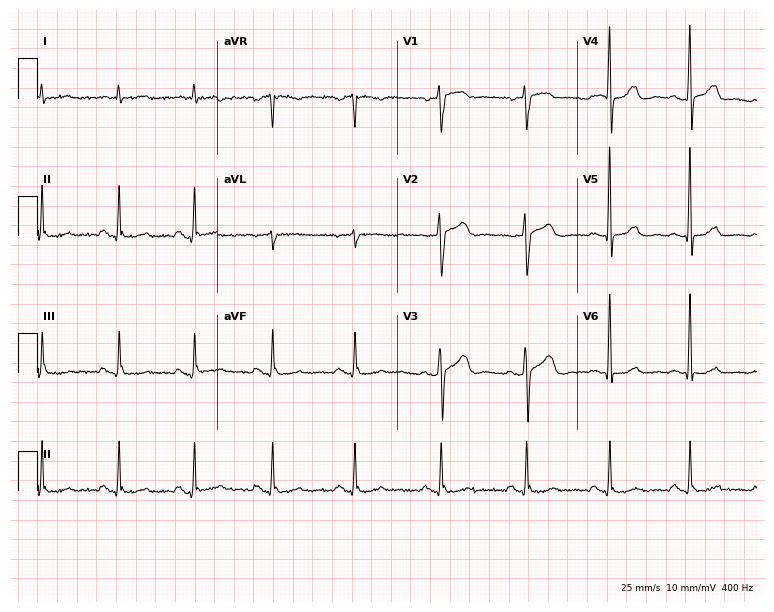
12-lead ECG from a 49-year-old male patient. Screened for six findings — first-degree AV block, right bundle branch block, left bundle branch block, sinus bradycardia, atrial fibrillation, sinus tachycardia — none is recorded. Only these six findings were labelled.